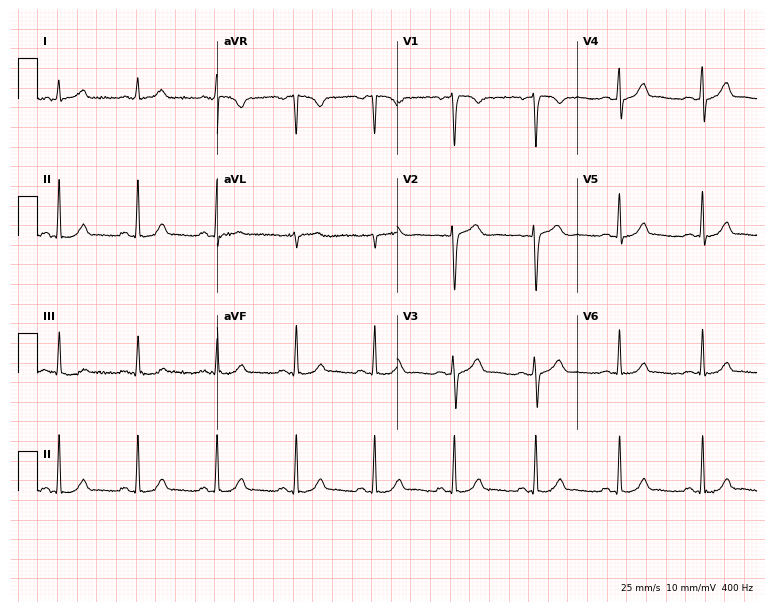
ECG — a female, 26 years old. Labelled as a normal ECG.